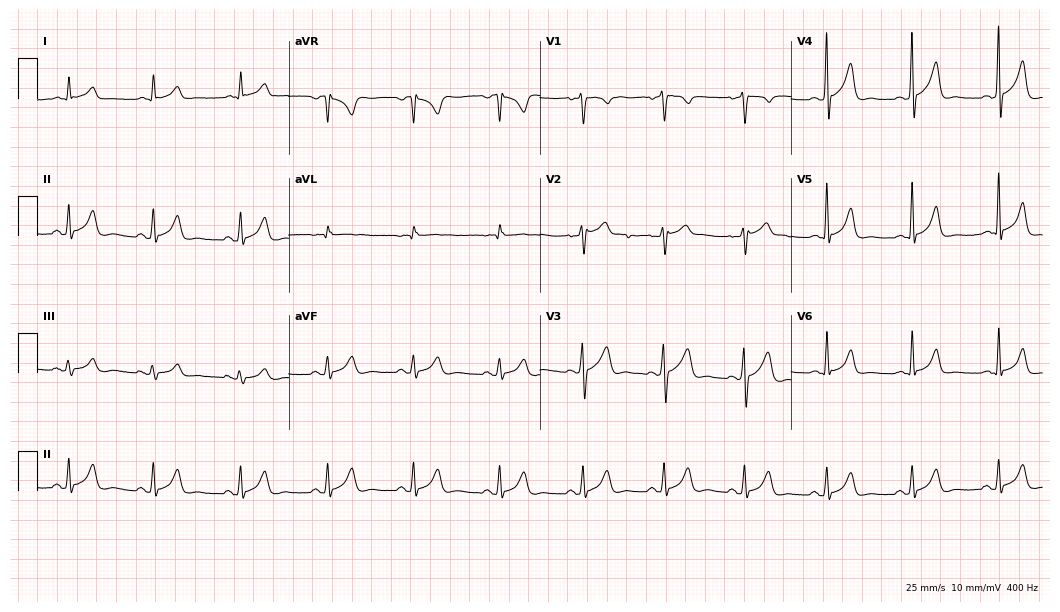
ECG — a man, 48 years old. Screened for six findings — first-degree AV block, right bundle branch block, left bundle branch block, sinus bradycardia, atrial fibrillation, sinus tachycardia — none is recorded.